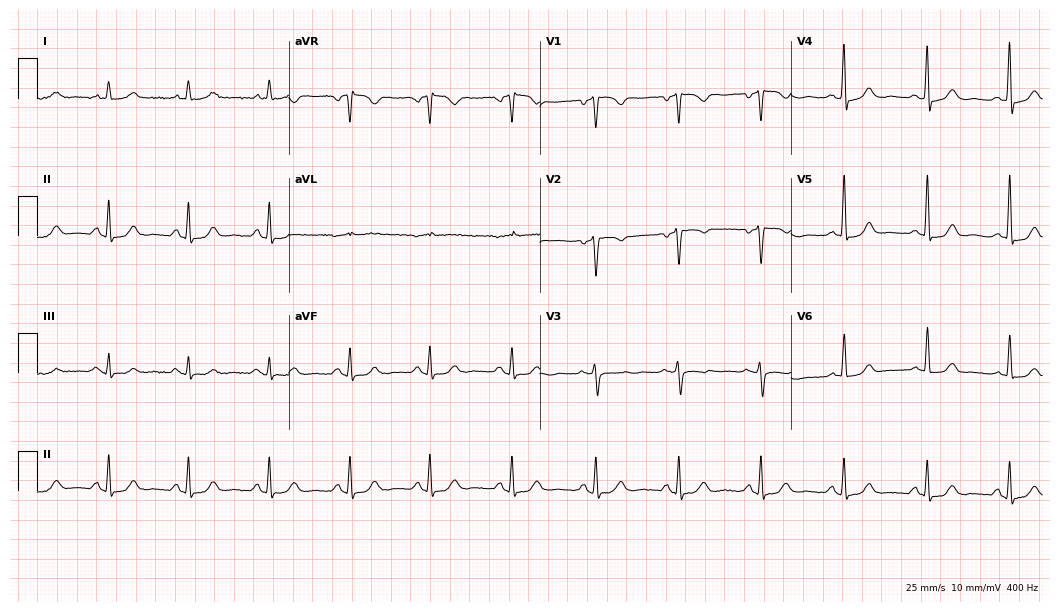
Standard 12-lead ECG recorded from a female, 62 years old. None of these six findings is recorded: first-degree AV block, right bundle branch block, left bundle branch block, sinus bradycardia, atrial fibrillation, sinus tachycardia.